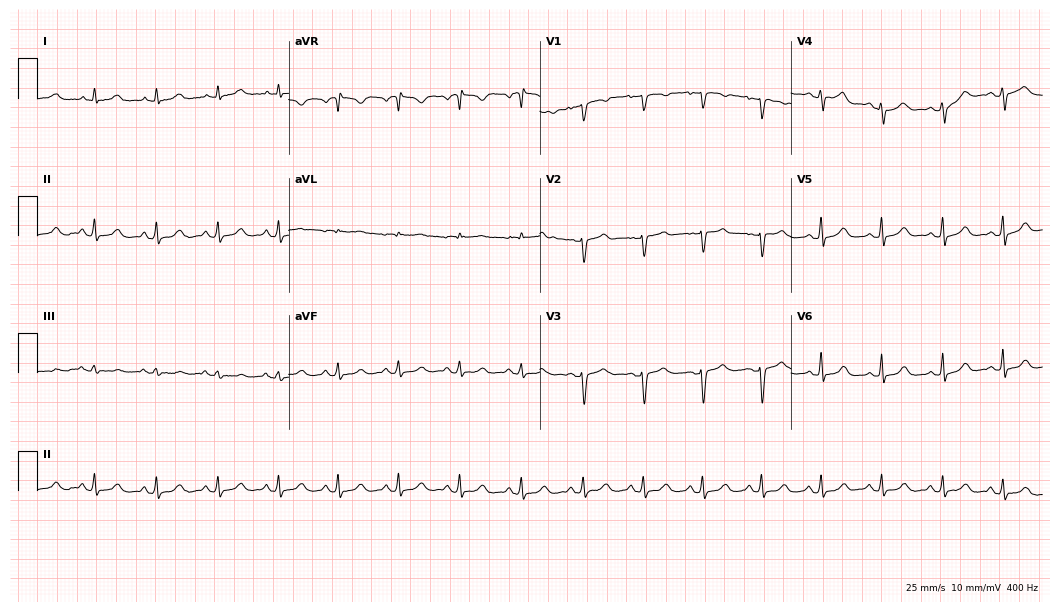
Electrocardiogram (10.2-second recording at 400 Hz), a female patient, 54 years old. Overall reading on record: normal ECG.